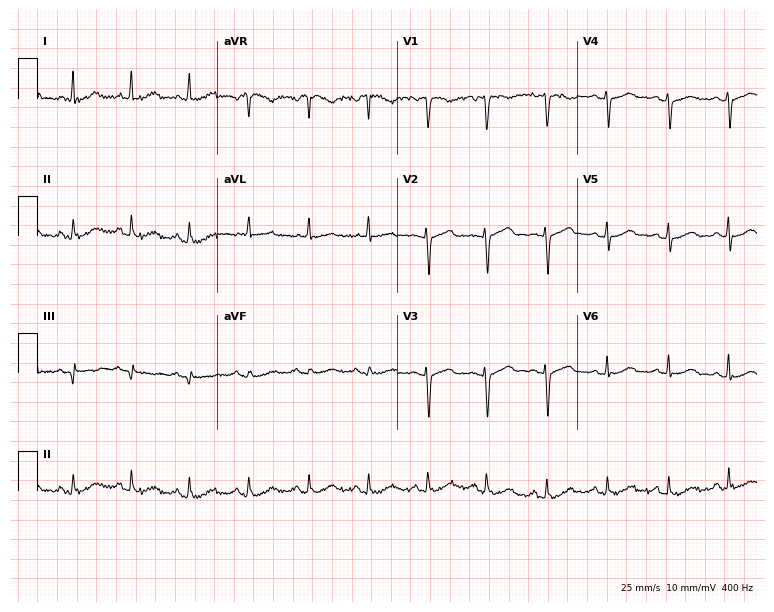
12-lead ECG from a female patient, 40 years old. Recorded interpretation: within normal limits.